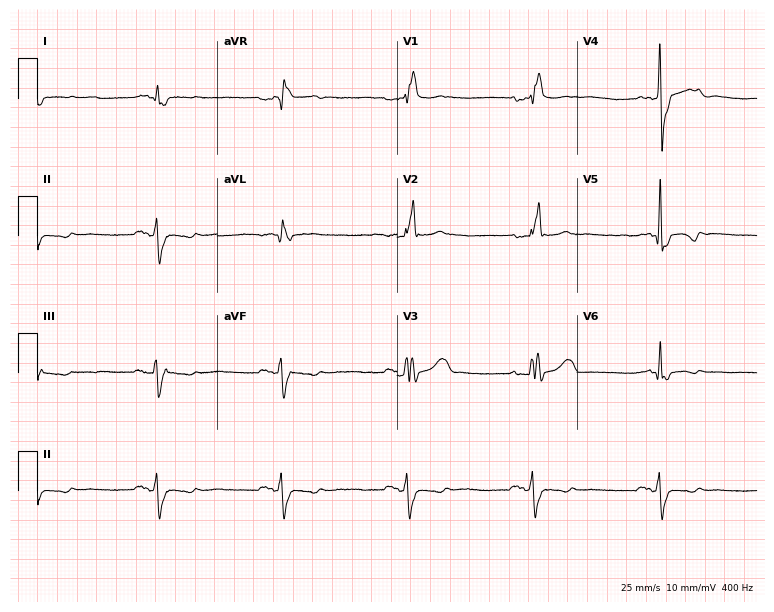
Electrocardiogram, a male patient, 72 years old. Interpretation includes right bundle branch block, sinus bradycardia (a sinus rate of 50 beats per minute or less).